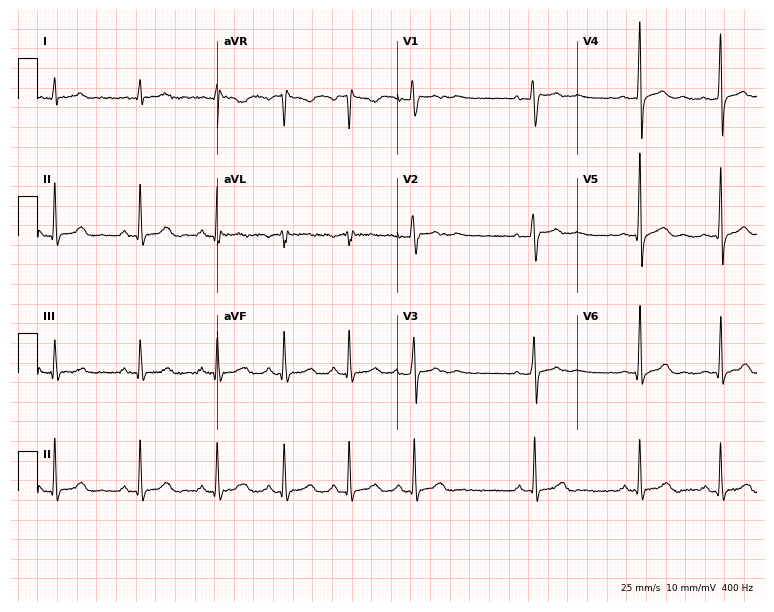
12-lead ECG from an 18-year-old male. Screened for six findings — first-degree AV block, right bundle branch block (RBBB), left bundle branch block (LBBB), sinus bradycardia, atrial fibrillation (AF), sinus tachycardia — none is recorded.